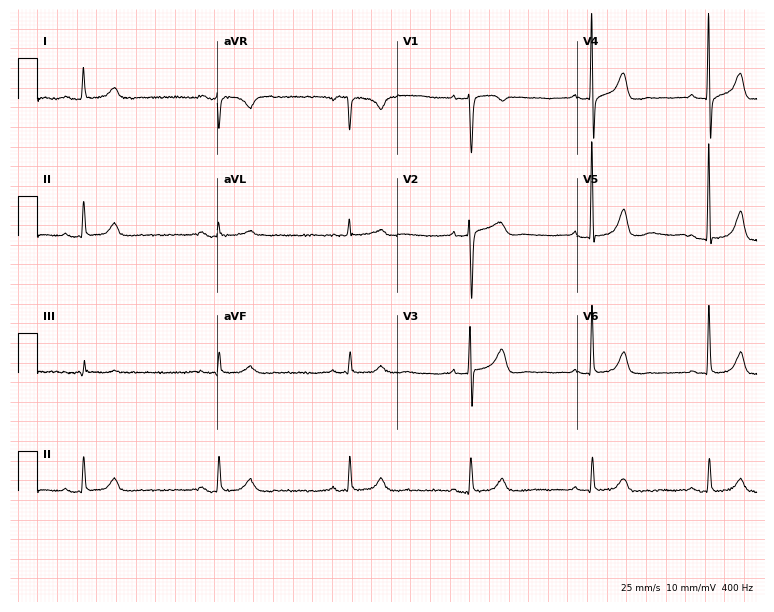
ECG (7.3-second recording at 400 Hz) — a female, 81 years old. Screened for six findings — first-degree AV block, right bundle branch block, left bundle branch block, sinus bradycardia, atrial fibrillation, sinus tachycardia — none is recorded.